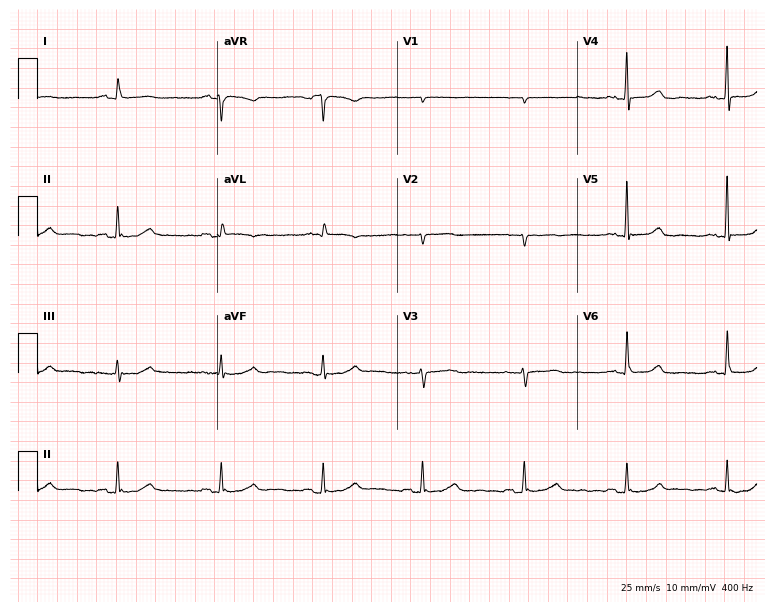
12-lead ECG from a 59-year-old woman (7.3-second recording at 400 Hz). No first-degree AV block, right bundle branch block, left bundle branch block, sinus bradycardia, atrial fibrillation or sinus tachycardia recorded for this tracing. Only these six findings were labelled.